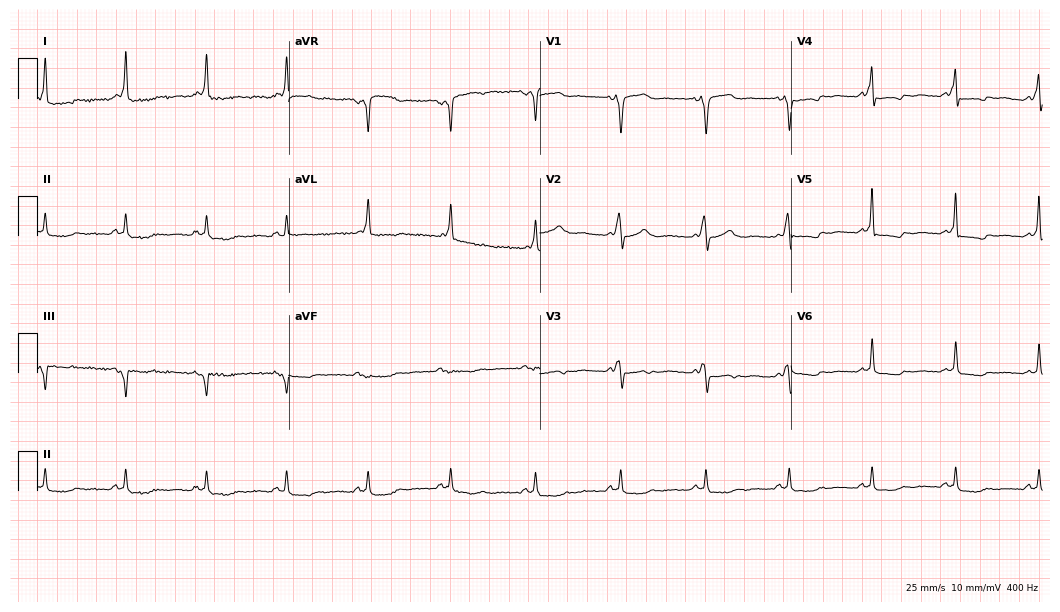
ECG (10.2-second recording at 400 Hz) — a 61-year-old female patient. Screened for six findings — first-degree AV block, right bundle branch block, left bundle branch block, sinus bradycardia, atrial fibrillation, sinus tachycardia — none is recorded.